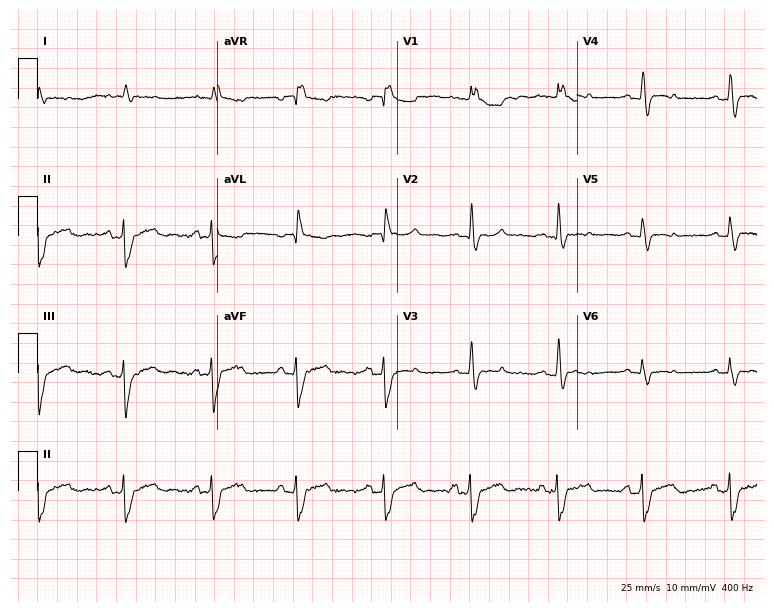
12-lead ECG (7.3-second recording at 400 Hz) from a female patient, 67 years old. Findings include right bundle branch block (RBBB).